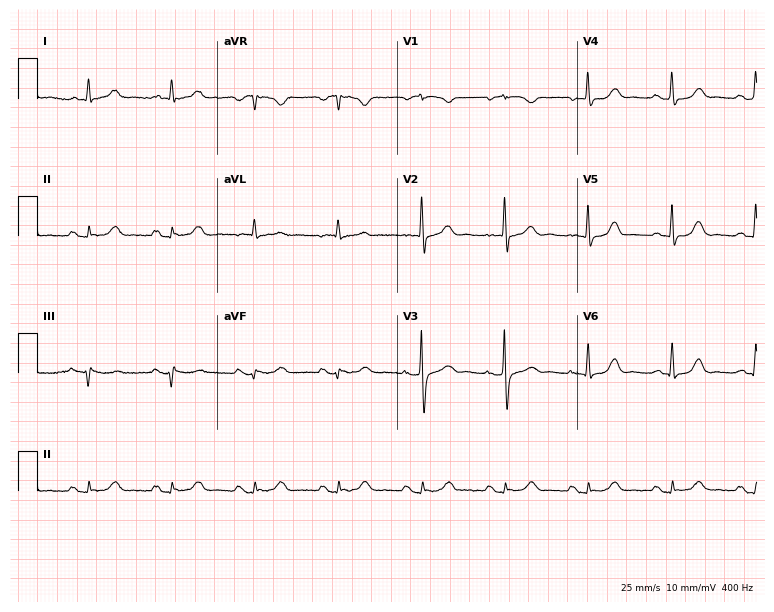
Standard 12-lead ECG recorded from a woman, 79 years old. None of these six findings is recorded: first-degree AV block, right bundle branch block, left bundle branch block, sinus bradycardia, atrial fibrillation, sinus tachycardia. Other findings, if any, are not listed.